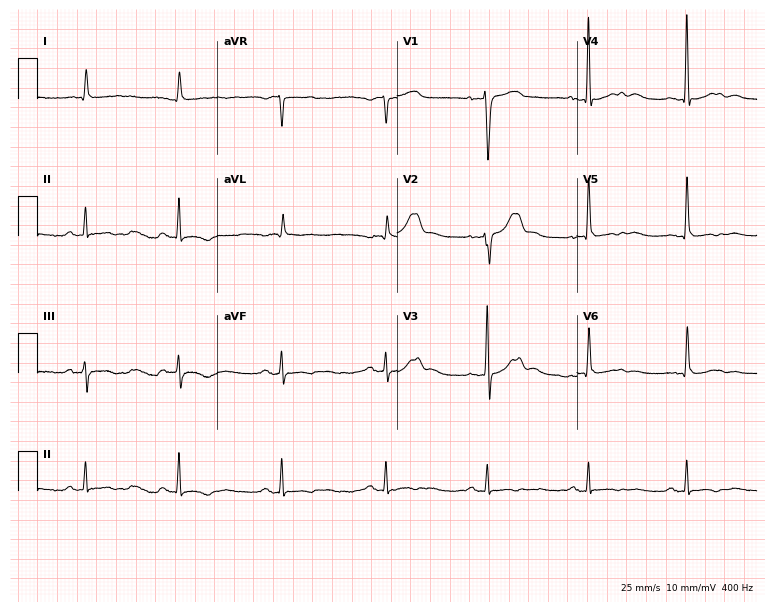
ECG (7.3-second recording at 400 Hz) — a 69-year-old male patient. Screened for six findings — first-degree AV block, right bundle branch block, left bundle branch block, sinus bradycardia, atrial fibrillation, sinus tachycardia — none is recorded. Findings outside these six are not listed.